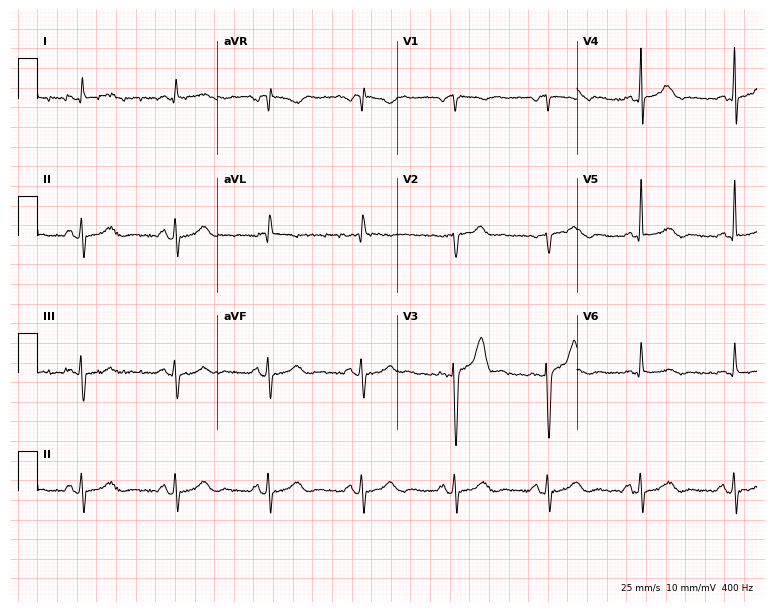
12-lead ECG from a 69-year-old male patient. Screened for six findings — first-degree AV block, right bundle branch block (RBBB), left bundle branch block (LBBB), sinus bradycardia, atrial fibrillation (AF), sinus tachycardia — none is recorded. Findings outside these six are not listed.